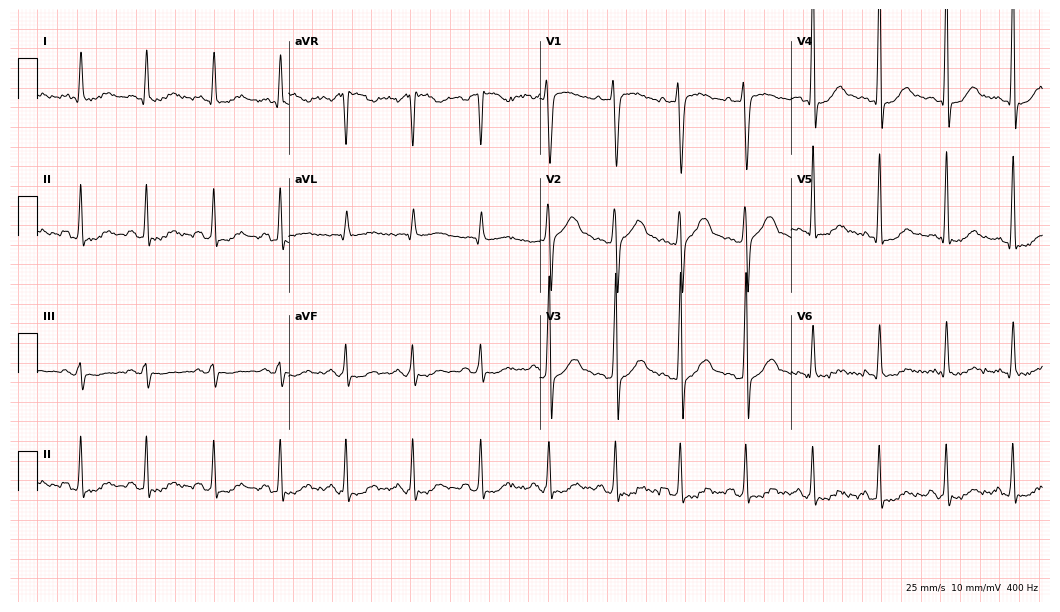
12-lead ECG from a 32-year-old male patient (10.2-second recording at 400 Hz). No first-degree AV block, right bundle branch block, left bundle branch block, sinus bradycardia, atrial fibrillation or sinus tachycardia recorded for this tracing.